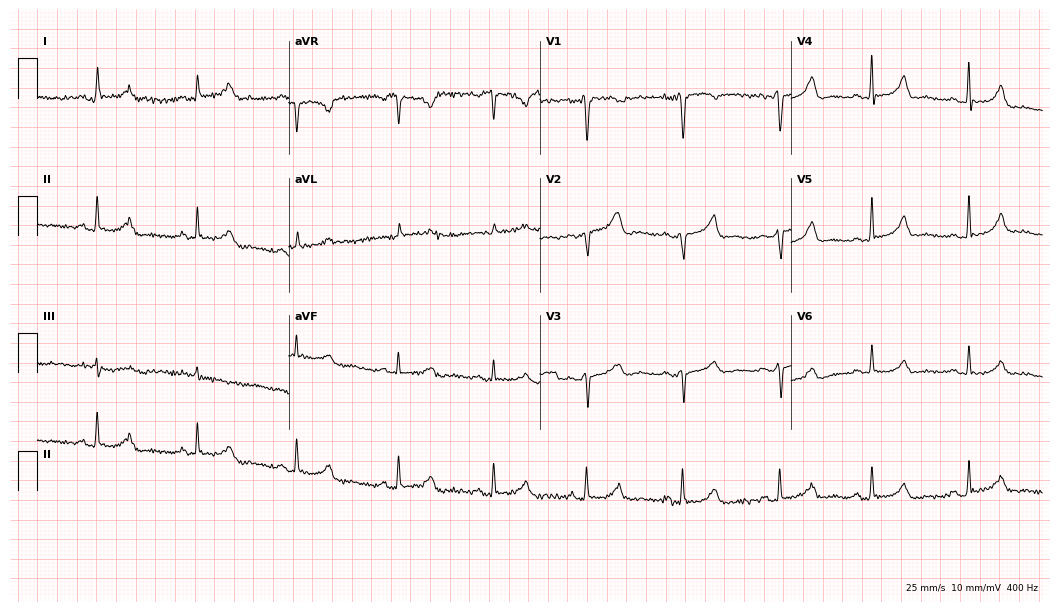
12-lead ECG (10.2-second recording at 400 Hz) from a 41-year-old female patient. Labelled as a normal ECG.